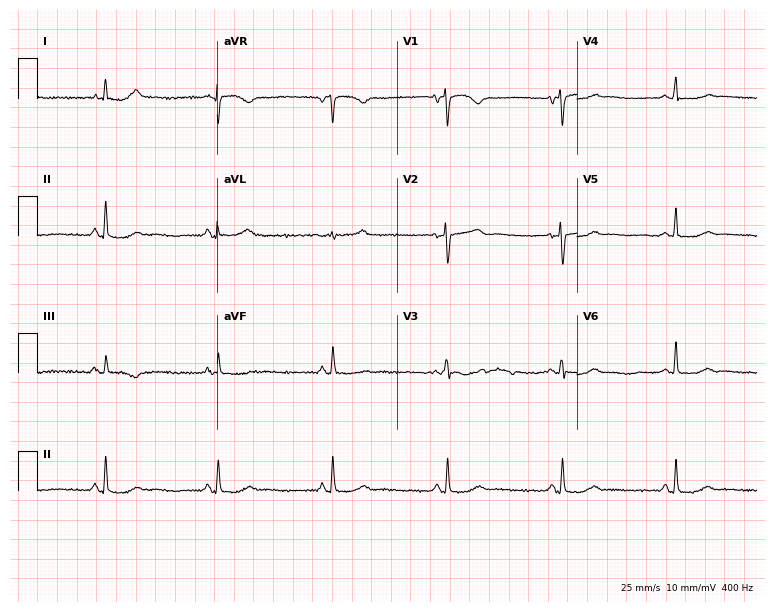
12-lead ECG from a 71-year-old woman. Recorded interpretation: within normal limits.